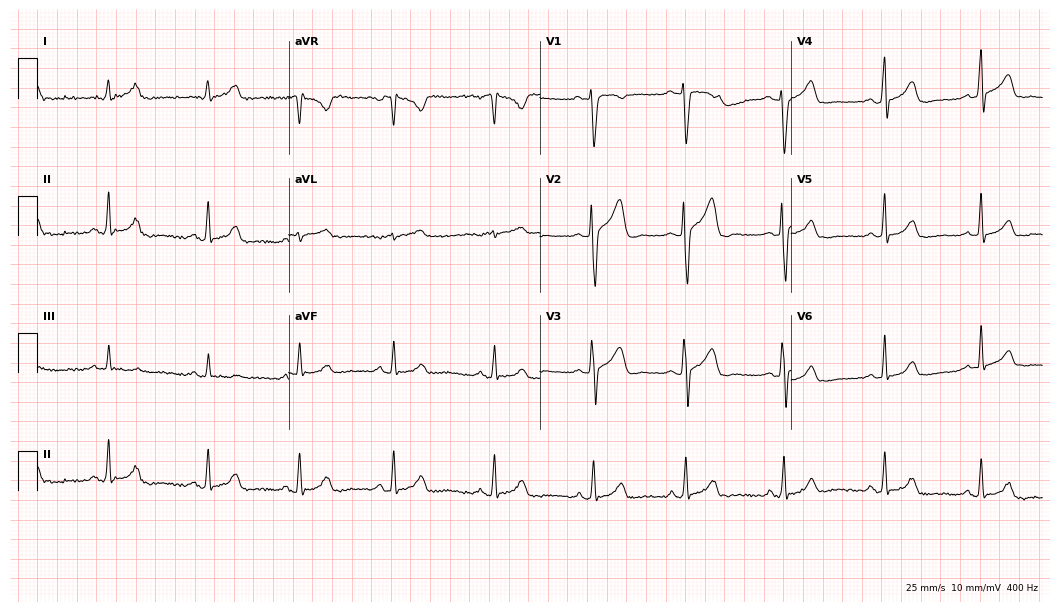
Electrocardiogram, a man, 31 years old. Overall reading on record: normal ECG.